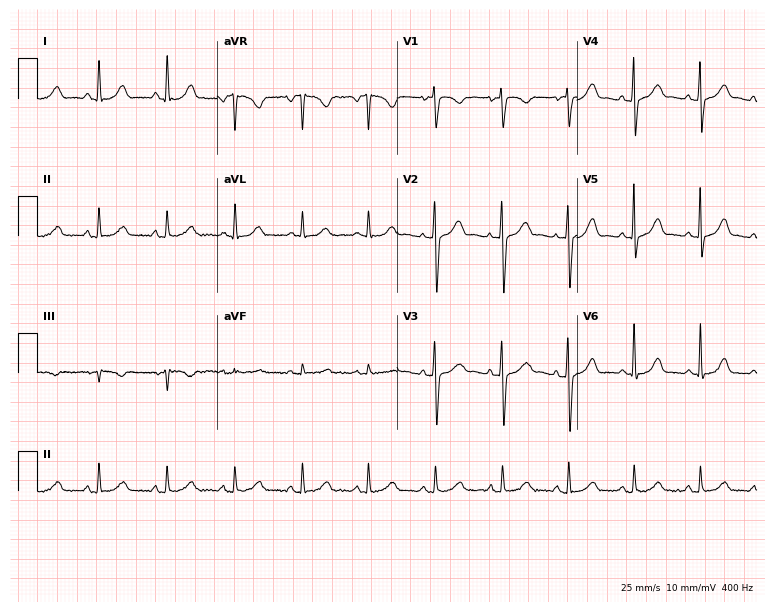
Resting 12-lead electrocardiogram (7.3-second recording at 400 Hz). Patient: a 47-year-old female. Read as a normal ECG.